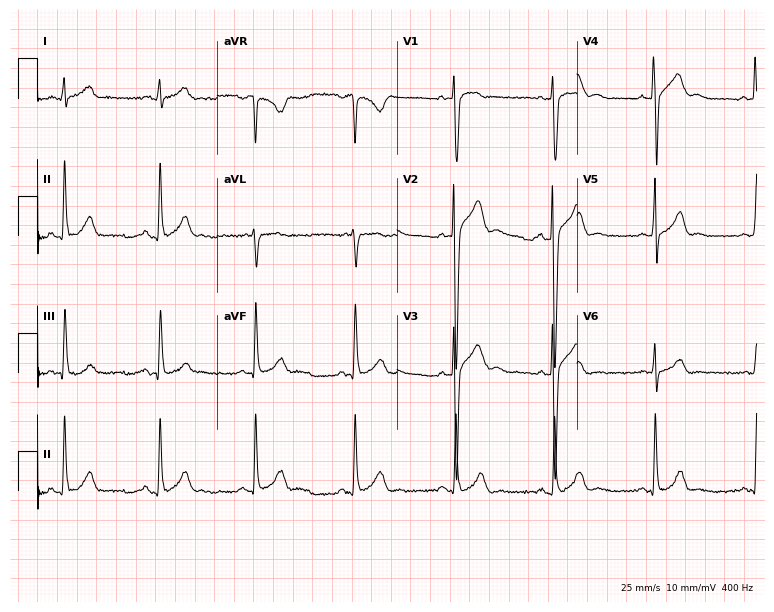
Standard 12-lead ECG recorded from a female, 31 years old (7.3-second recording at 400 Hz). None of these six findings is recorded: first-degree AV block, right bundle branch block, left bundle branch block, sinus bradycardia, atrial fibrillation, sinus tachycardia. Other findings, if any, are not listed.